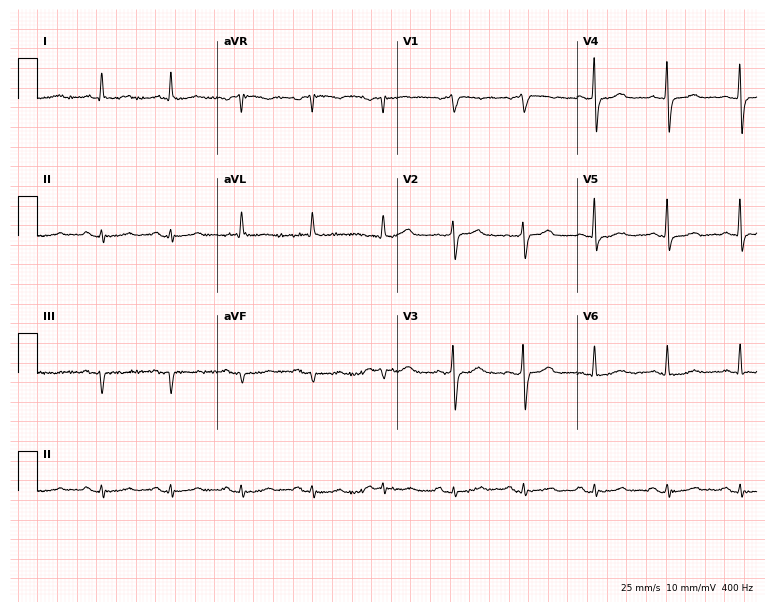
12-lead ECG (7.3-second recording at 400 Hz) from a 66-year-old male patient. Screened for six findings — first-degree AV block, right bundle branch block, left bundle branch block, sinus bradycardia, atrial fibrillation, sinus tachycardia — none is recorded. Only these six findings were labelled.